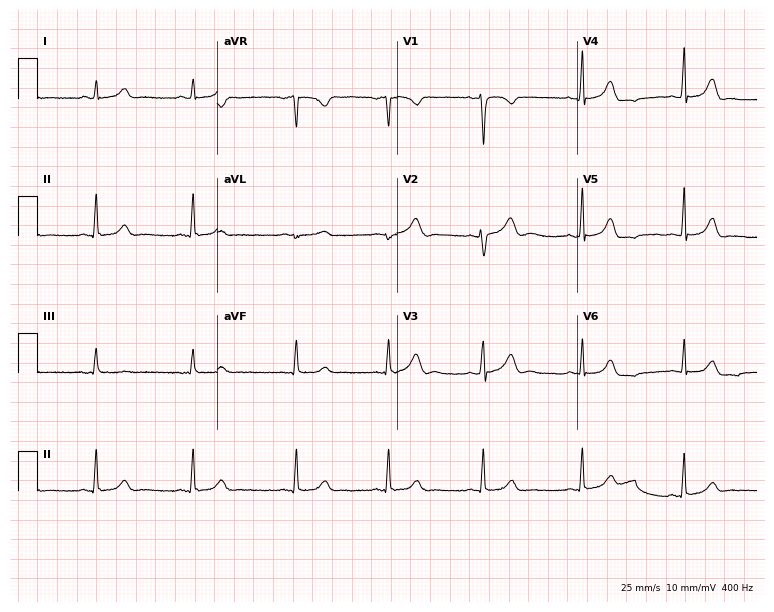
12-lead ECG (7.3-second recording at 400 Hz) from a 26-year-old female patient. Labelled as a normal ECG.